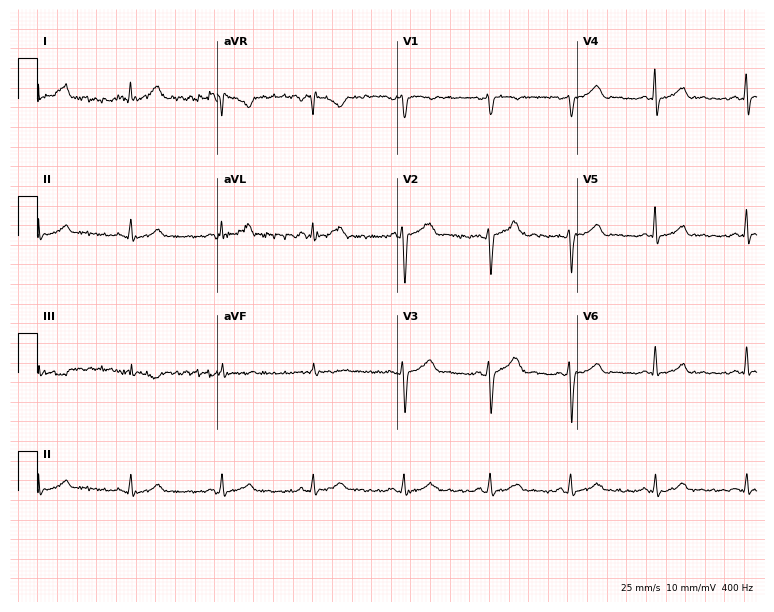
Electrocardiogram (7.3-second recording at 400 Hz), a woman, 38 years old. Of the six screened findings (first-degree AV block, right bundle branch block, left bundle branch block, sinus bradycardia, atrial fibrillation, sinus tachycardia), none is recorded. Findings outside these six are not listed.